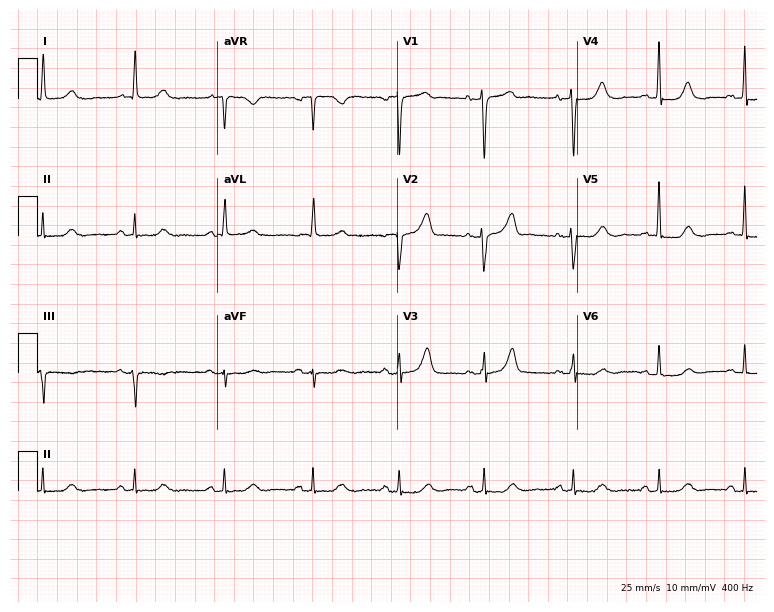
12-lead ECG (7.3-second recording at 400 Hz) from a woman, 85 years old. Screened for six findings — first-degree AV block, right bundle branch block, left bundle branch block, sinus bradycardia, atrial fibrillation, sinus tachycardia — none is recorded. Other findings, if any, are not listed.